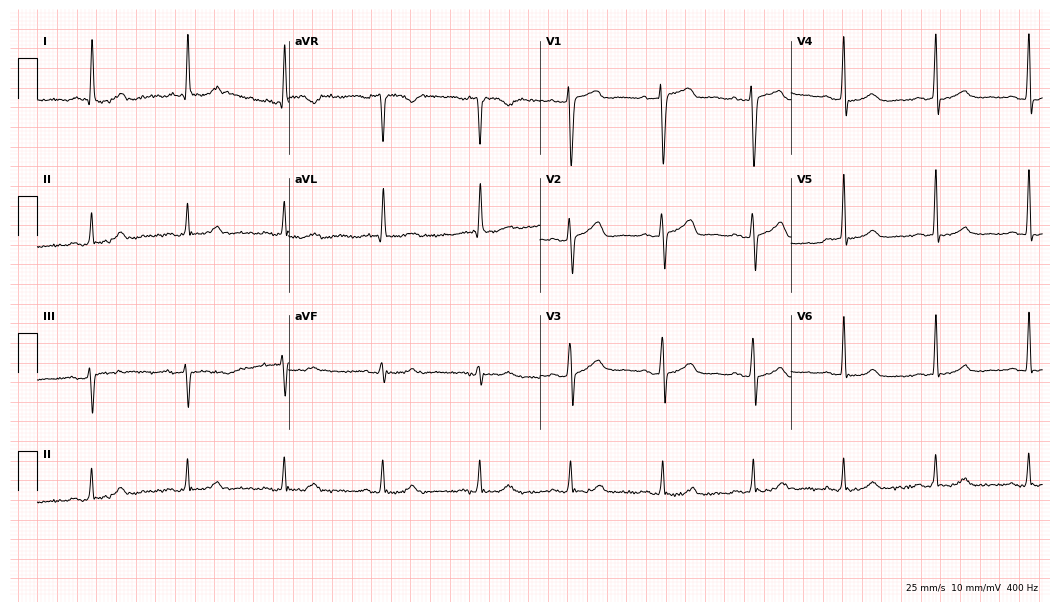
Electrocardiogram, a woman, 63 years old. Of the six screened findings (first-degree AV block, right bundle branch block, left bundle branch block, sinus bradycardia, atrial fibrillation, sinus tachycardia), none is recorded. Other findings, if any, are not listed.